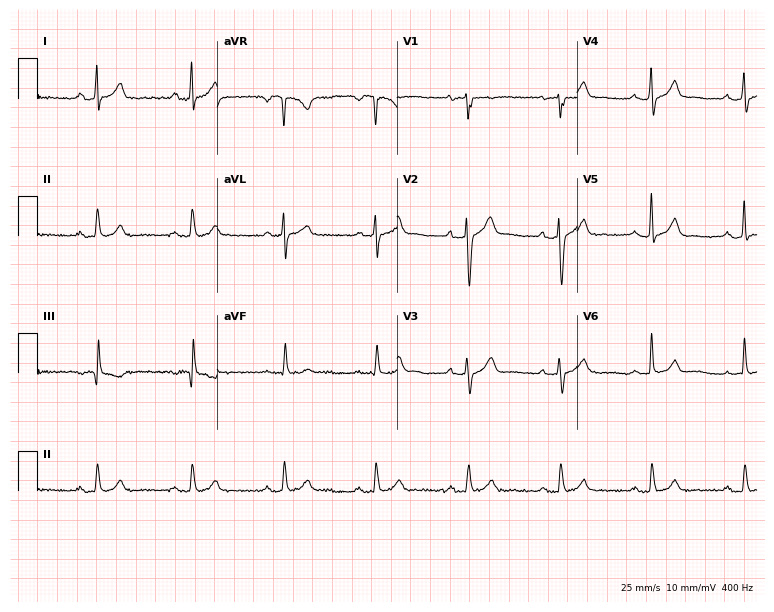
Resting 12-lead electrocardiogram (7.3-second recording at 400 Hz). Patient: a 34-year-old man. Read as a normal ECG.